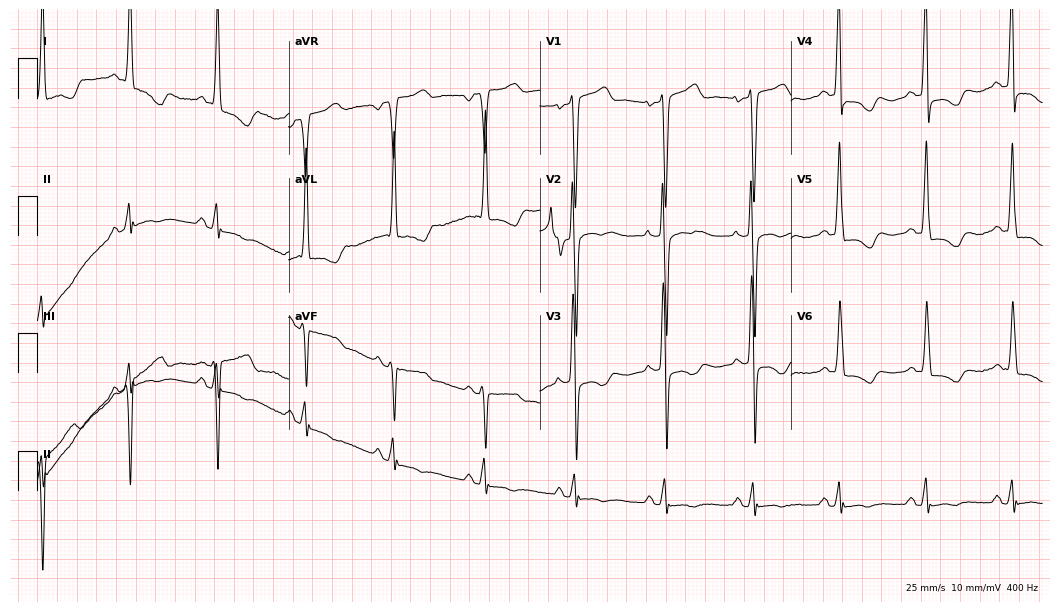
12-lead ECG from a 44-year-old man. No first-degree AV block, right bundle branch block, left bundle branch block, sinus bradycardia, atrial fibrillation or sinus tachycardia recorded for this tracing. Findings outside these six are not listed.